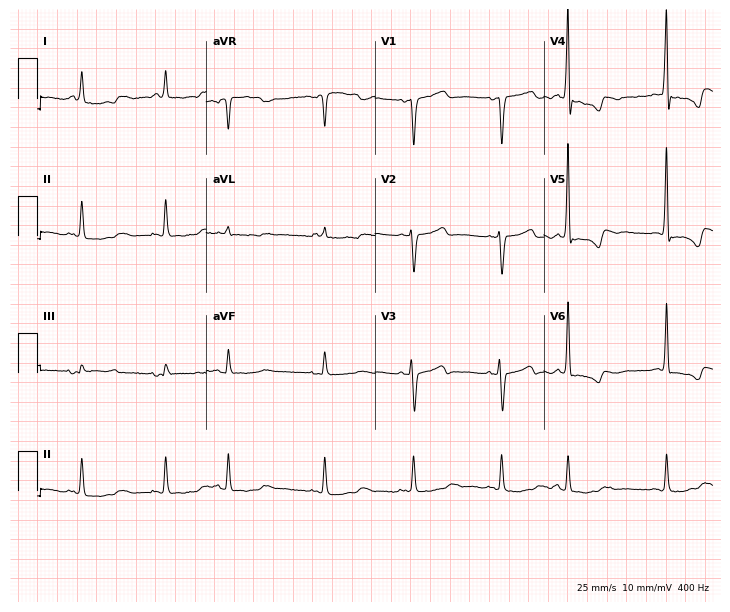
Standard 12-lead ECG recorded from a 69-year-old male patient (6.9-second recording at 400 Hz). None of these six findings is recorded: first-degree AV block, right bundle branch block, left bundle branch block, sinus bradycardia, atrial fibrillation, sinus tachycardia. Other findings, if any, are not listed.